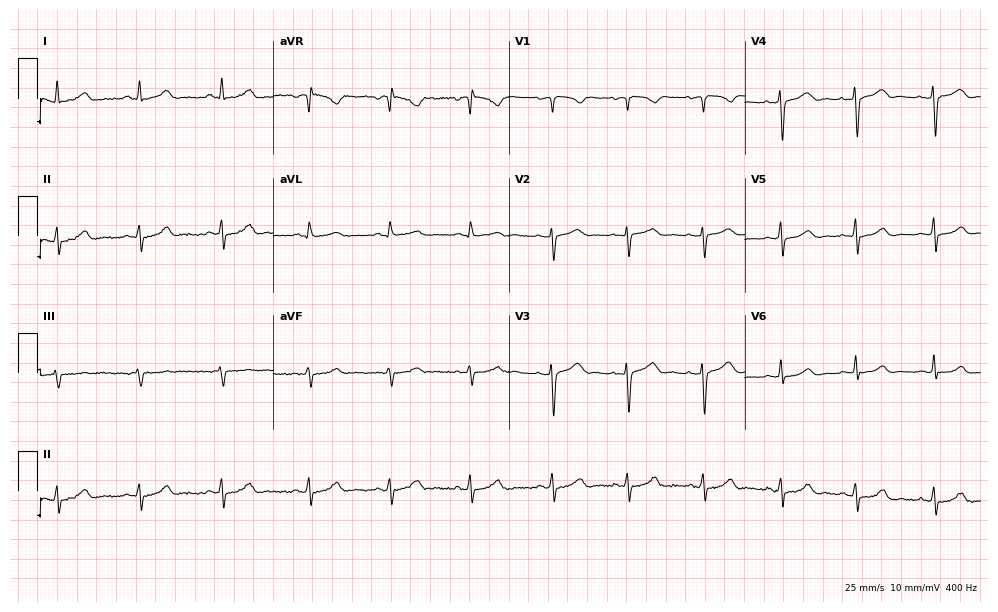
Resting 12-lead electrocardiogram. Patient: a female, 41 years old. Read as a normal ECG.